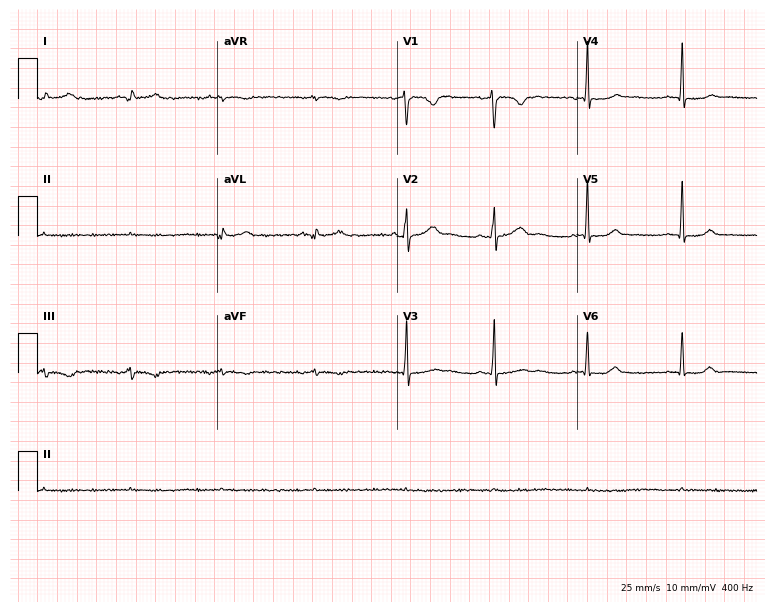
ECG — a woman, 42 years old. Screened for six findings — first-degree AV block, right bundle branch block, left bundle branch block, sinus bradycardia, atrial fibrillation, sinus tachycardia — none is recorded.